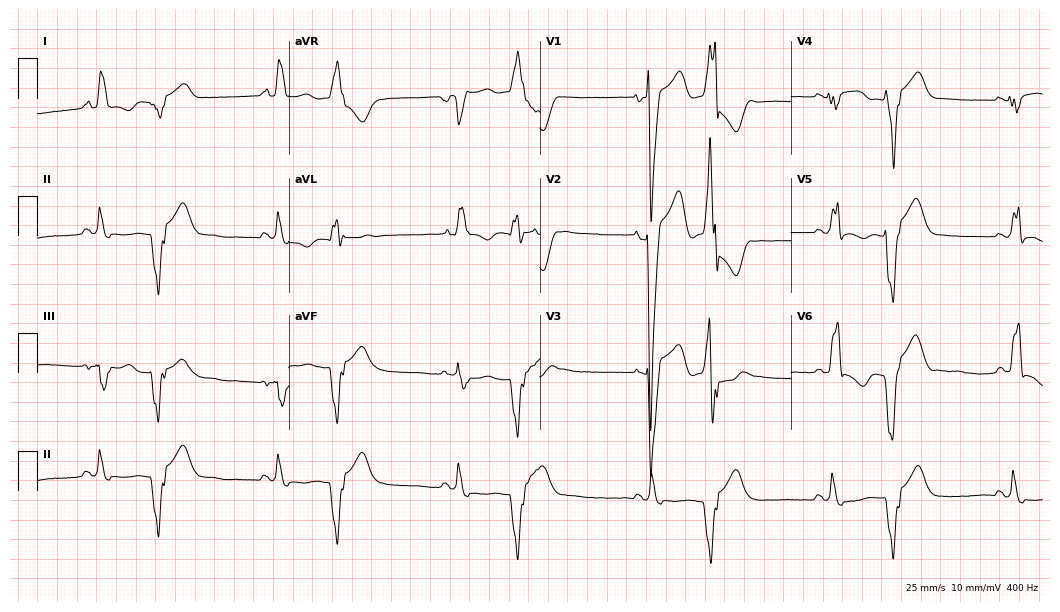
Electrocardiogram, a 74-year-old woman. Interpretation includes left bundle branch block (LBBB).